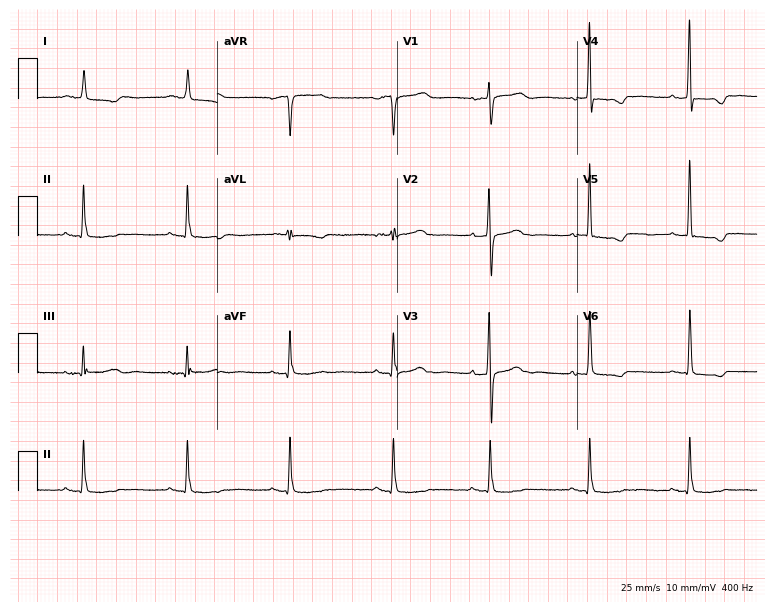
Electrocardiogram, a 74-year-old female patient. Of the six screened findings (first-degree AV block, right bundle branch block (RBBB), left bundle branch block (LBBB), sinus bradycardia, atrial fibrillation (AF), sinus tachycardia), none is recorded.